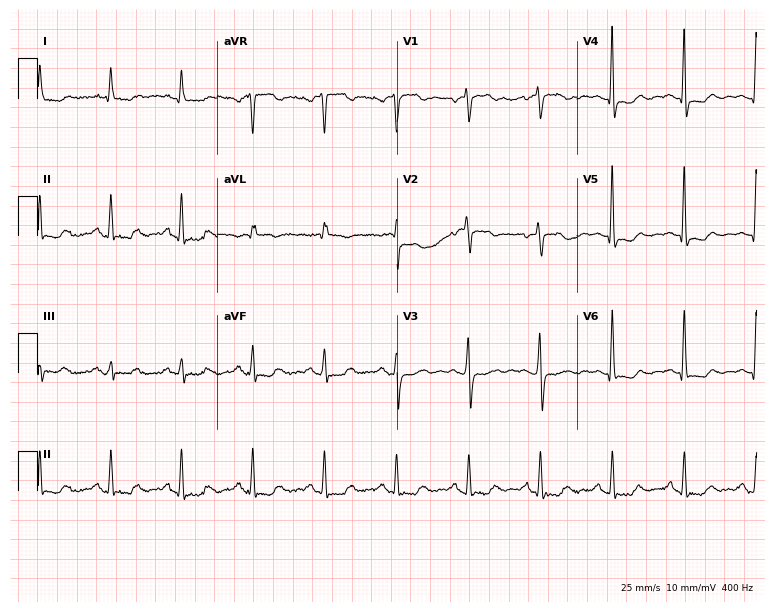
Standard 12-lead ECG recorded from a 68-year-old female patient. None of these six findings is recorded: first-degree AV block, right bundle branch block (RBBB), left bundle branch block (LBBB), sinus bradycardia, atrial fibrillation (AF), sinus tachycardia. Other findings, if any, are not listed.